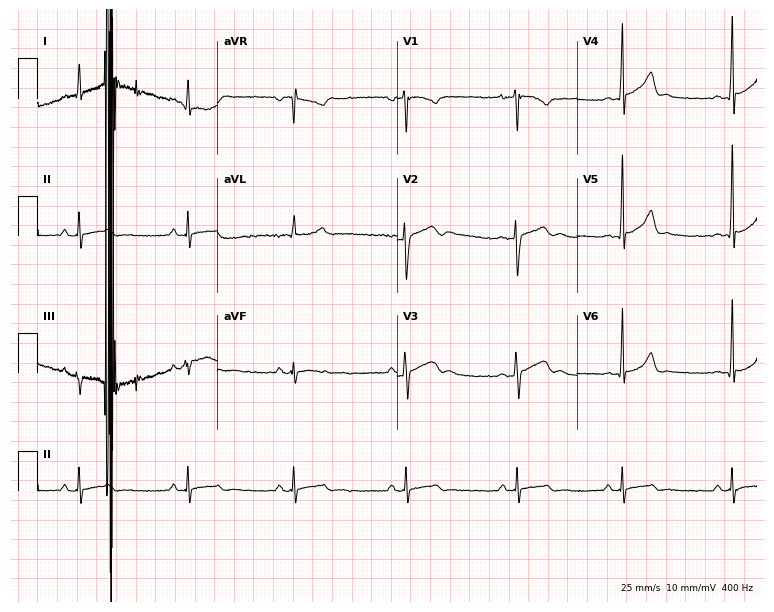
Standard 12-lead ECG recorded from a 27-year-old male (7.3-second recording at 400 Hz). None of these six findings is recorded: first-degree AV block, right bundle branch block, left bundle branch block, sinus bradycardia, atrial fibrillation, sinus tachycardia.